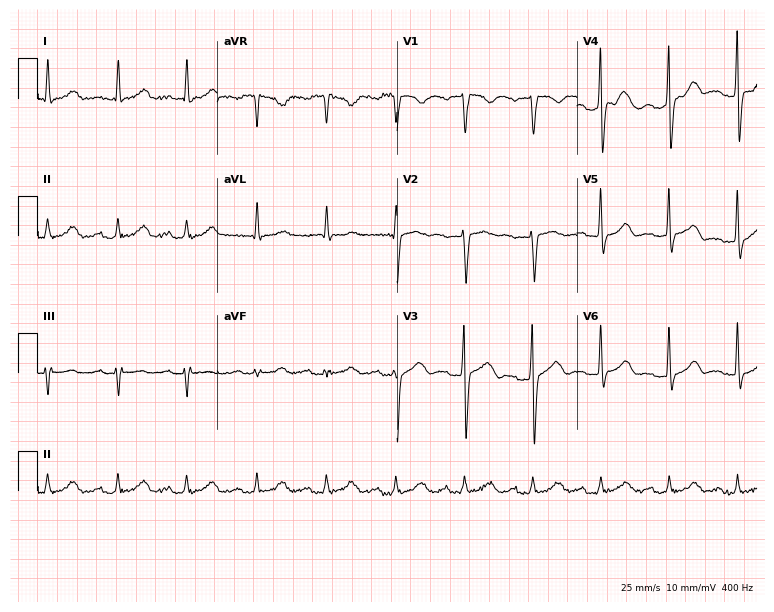
12-lead ECG (7.3-second recording at 400 Hz) from a female, 52 years old. Findings include first-degree AV block.